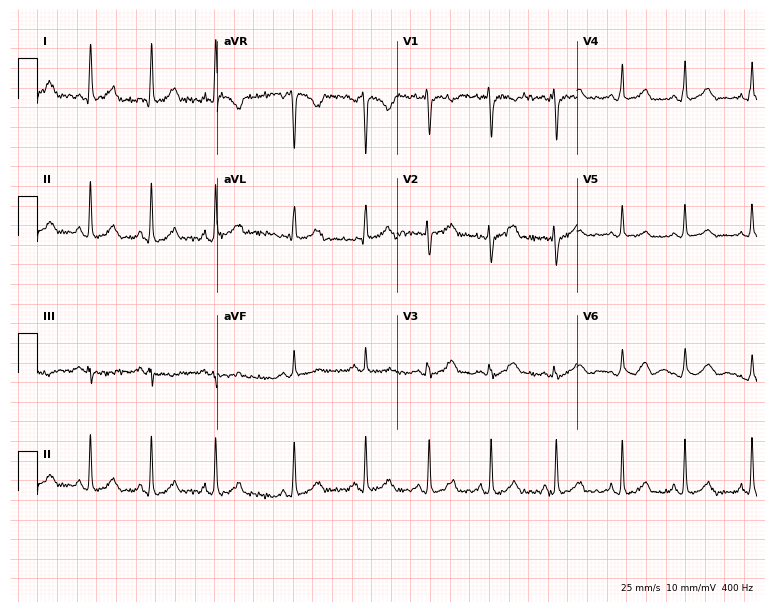
ECG — a woman, 25 years old. Labelled as a normal ECG.